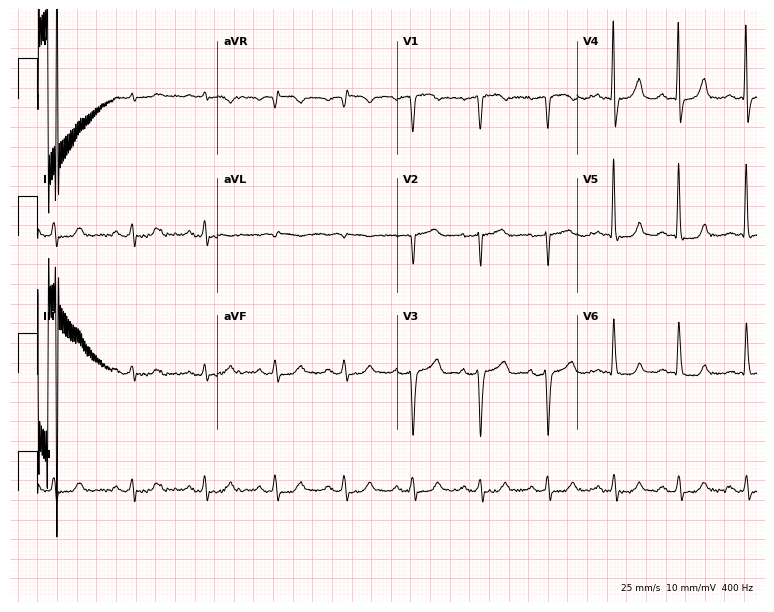
Resting 12-lead electrocardiogram. Patient: a female, 75 years old. None of these six findings is recorded: first-degree AV block, right bundle branch block, left bundle branch block, sinus bradycardia, atrial fibrillation, sinus tachycardia. Only these six findings were labelled.